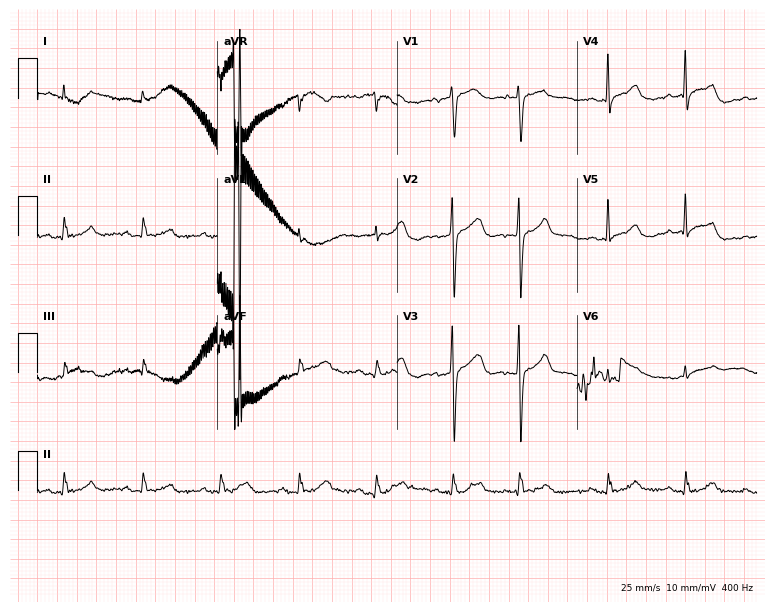
Electrocardiogram, a woman, 84 years old. Overall reading on record: normal ECG.